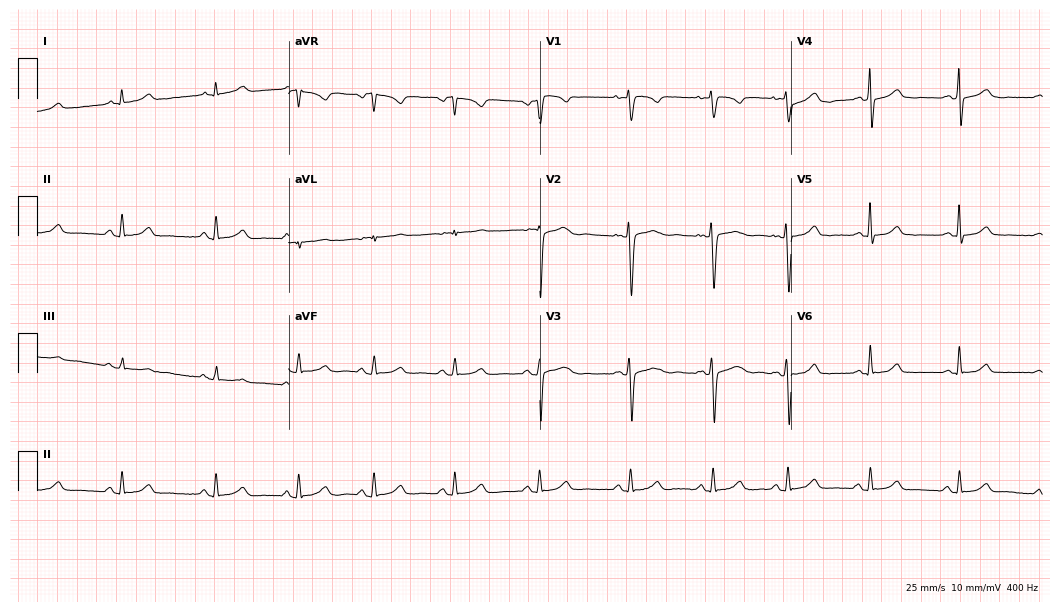
Electrocardiogram (10.2-second recording at 400 Hz), a female patient, 43 years old. Of the six screened findings (first-degree AV block, right bundle branch block, left bundle branch block, sinus bradycardia, atrial fibrillation, sinus tachycardia), none is recorded.